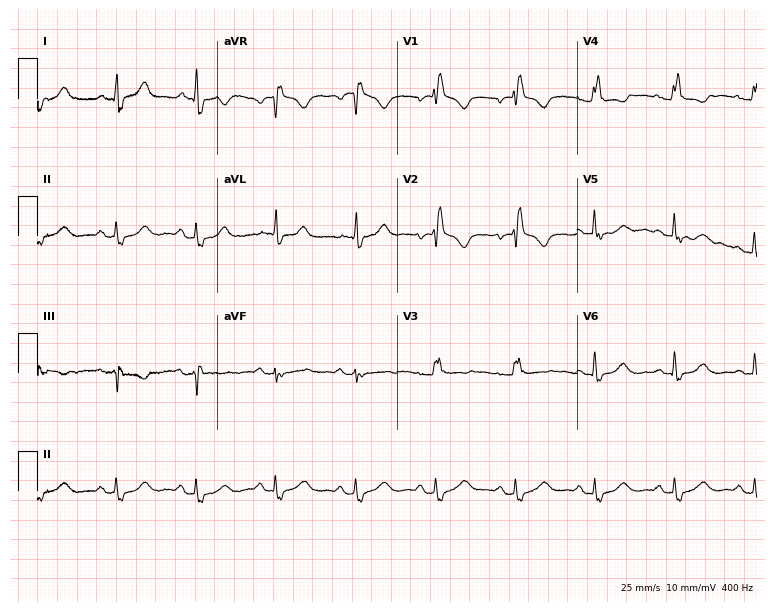
Electrocardiogram (7.3-second recording at 400 Hz), a 57-year-old woman. Interpretation includes right bundle branch block.